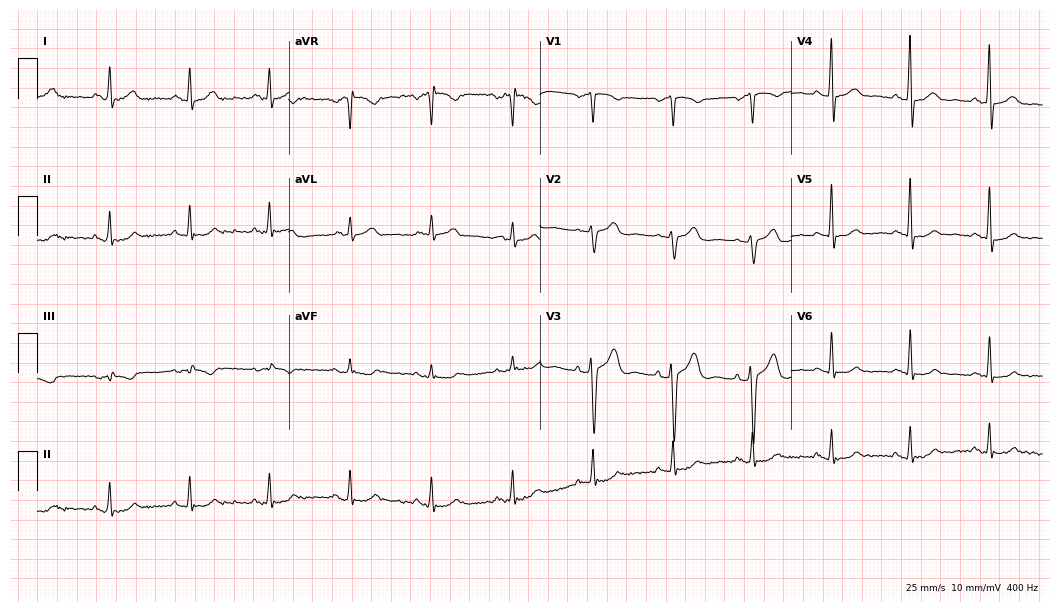
Electrocardiogram, a male, 54 years old. Of the six screened findings (first-degree AV block, right bundle branch block, left bundle branch block, sinus bradycardia, atrial fibrillation, sinus tachycardia), none is recorded.